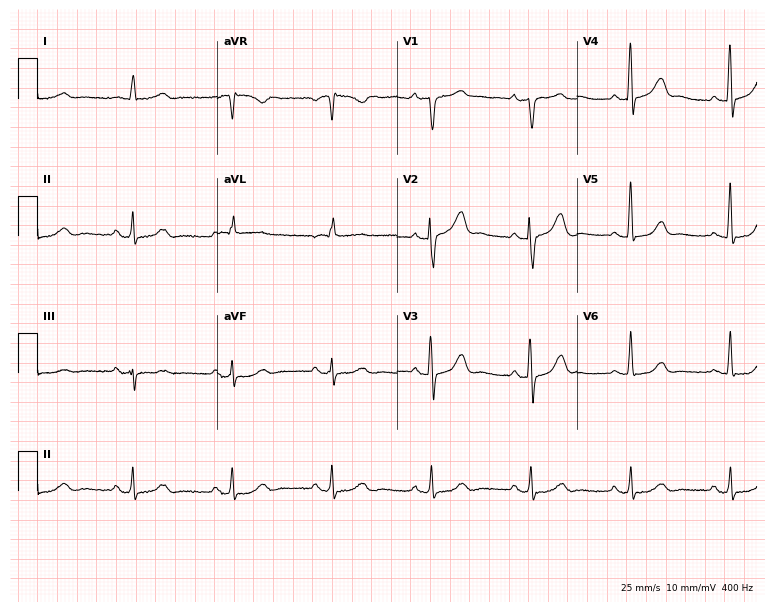
12-lead ECG from an 83-year-old male patient (7.3-second recording at 400 Hz). No first-degree AV block, right bundle branch block (RBBB), left bundle branch block (LBBB), sinus bradycardia, atrial fibrillation (AF) or sinus tachycardia recorded for this tracing. Findings outside these six are not listed.